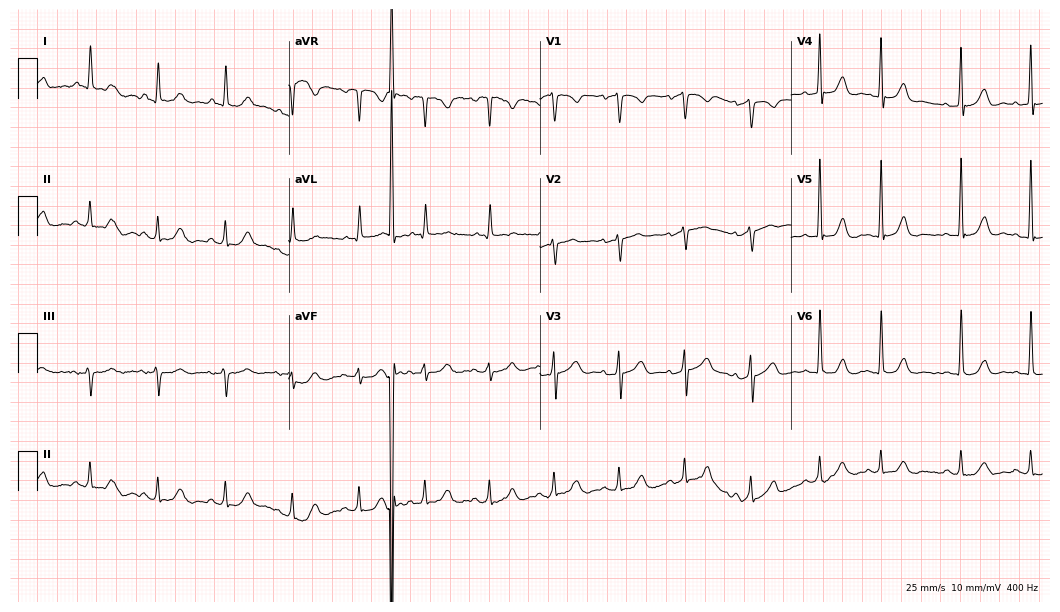
12-lead ECG from a 69-year-old male patient. Labelled as a normal ECG.